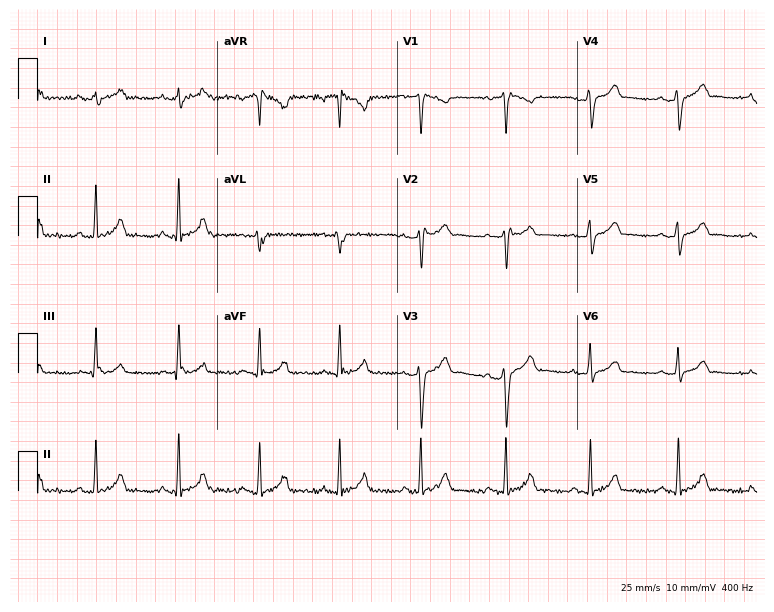
12-lead ECG from a man, 31 years old. No first-degree AV block, right bundle branch block (RBBB), left bundle branch block (LBBB), sinus bradycardia, atrial fibrillation (AF) or sinus tachycardia recorded for this tracing.